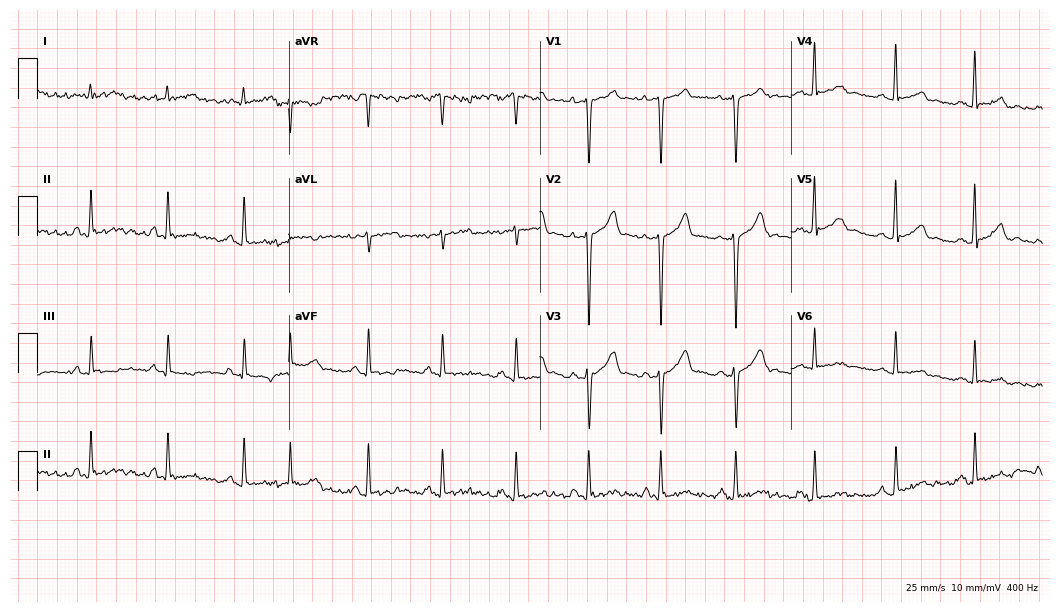
ECG (10.2-second recording at 400 Hz) — a 46-year-old man. Screened for six findings — first-degree AV block, right bundle branch block (RBBB), left bundle branch block (LBBB), sinus bradycardia, atrial fibrillation (AF), sinus tachycardia — none is recorded.